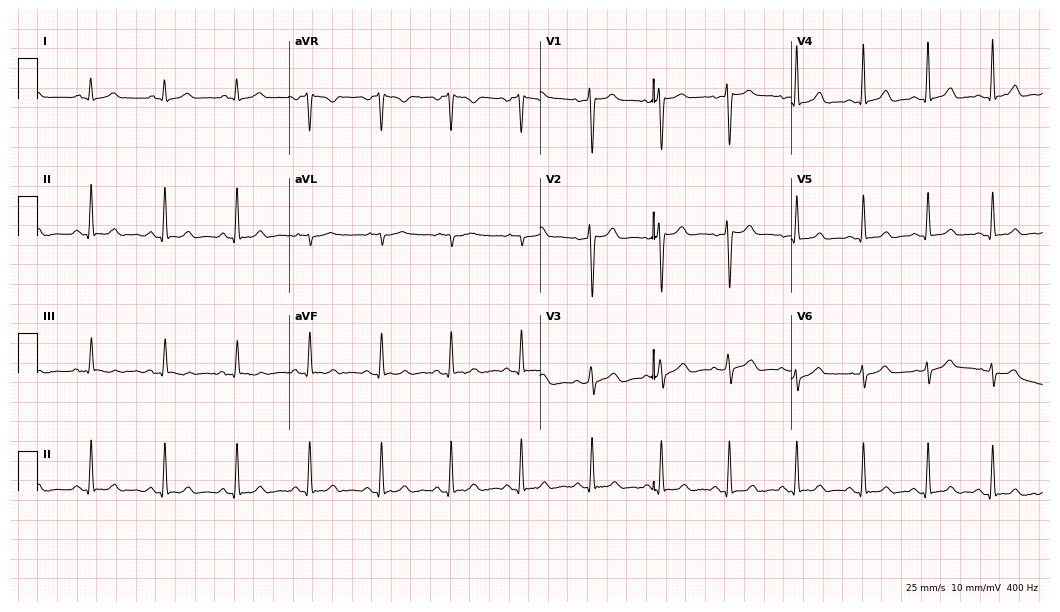
Resting 12-lead electrocardiogram (10.2-second recording at 400 Hz). Patient: a female, 43 years old. Read as a normal ECG.